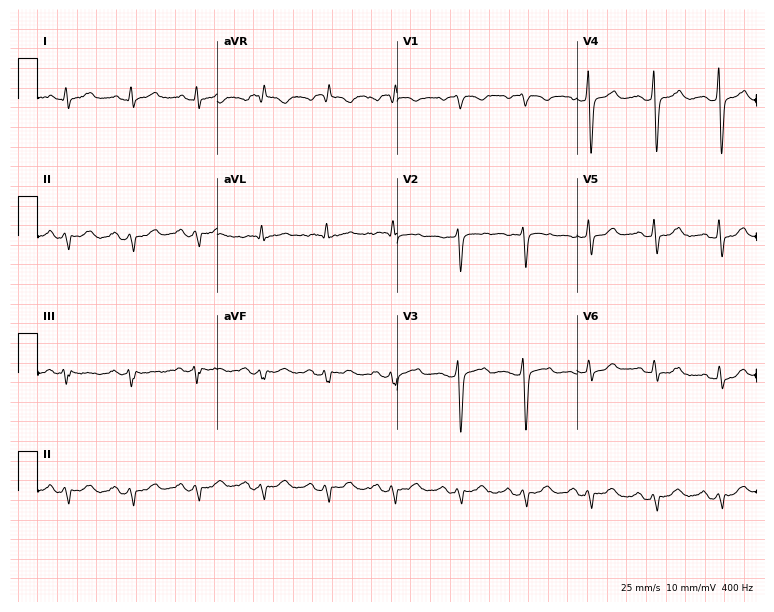
ECG — a woman, 50 years old. Screened for six findings — first-degree AV block, right bundle branch block (RBBB), left bundle branch block (LBBB), sinus bradycardia, atrial fibrillation (AF), sinus tachycardia — none is recorded.